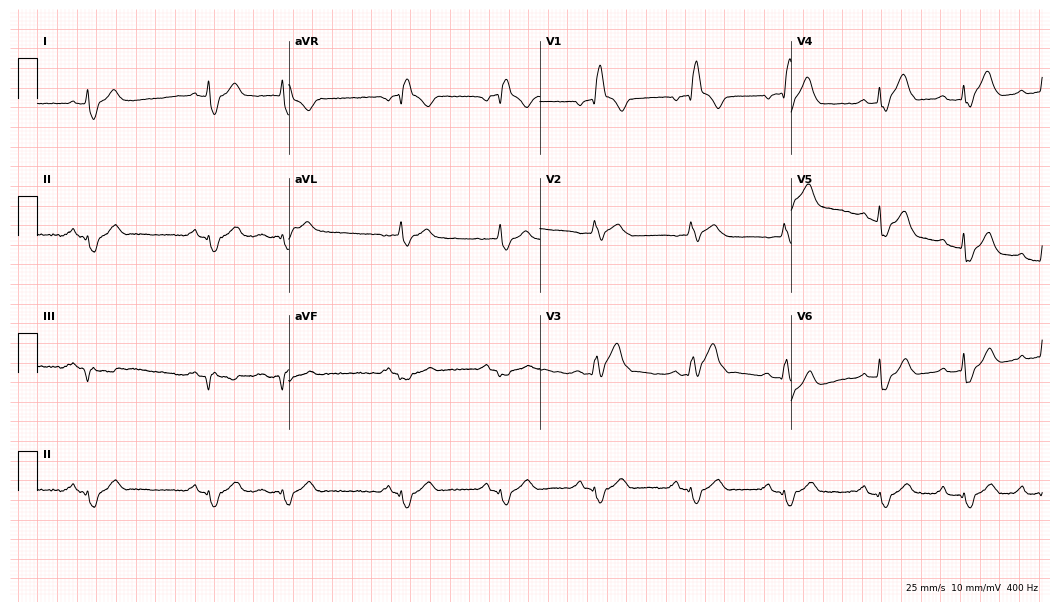
Standard 12-lead ECG recorded from a 72-year-old male patient (10.2-second recording at 400 Hz). None of these six findings is recorded: first-degree AV block, right bundle branch block, left bundle branch block, sinus bradycardia, atrial fibrillation, sinus tachycardia. Other findings, if any, are not listed.